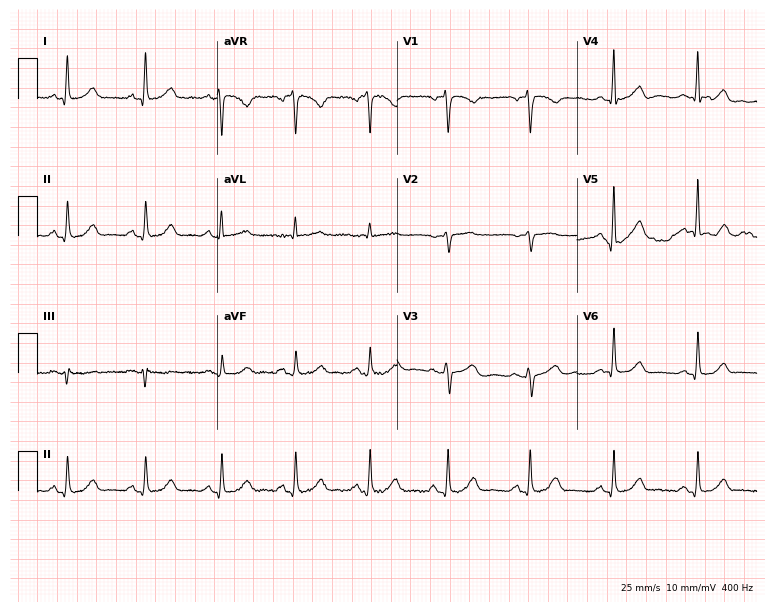
Resting 12-lead electrocardiogram. Patient: a 61-year-old female. Read as a normal ECG.